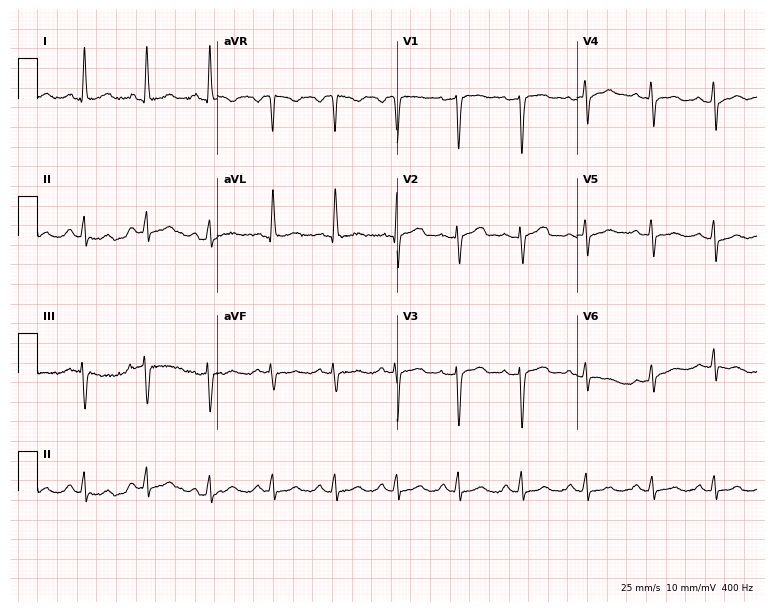
Standard 12-lead ECG recorded from a 47-year-old female patient. Read as a normal ECG.